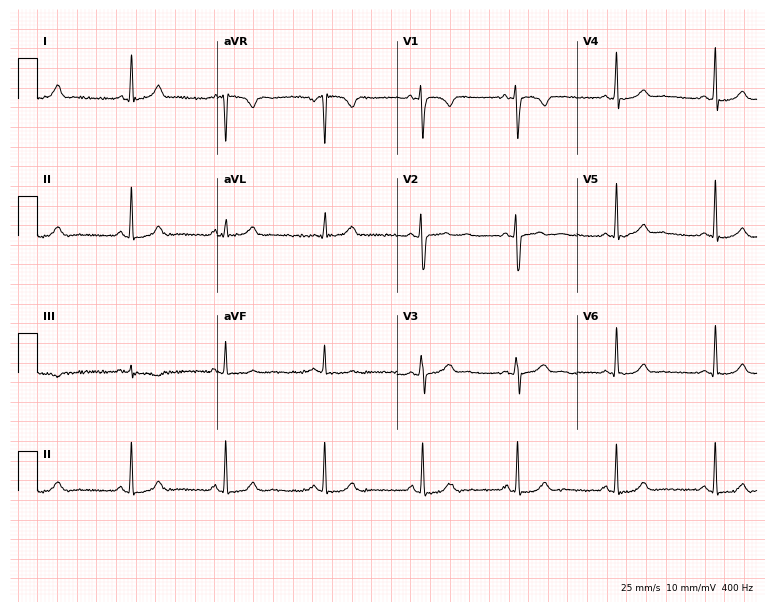
ECG — a female, 31 years old. Labelled as a normal ECG.